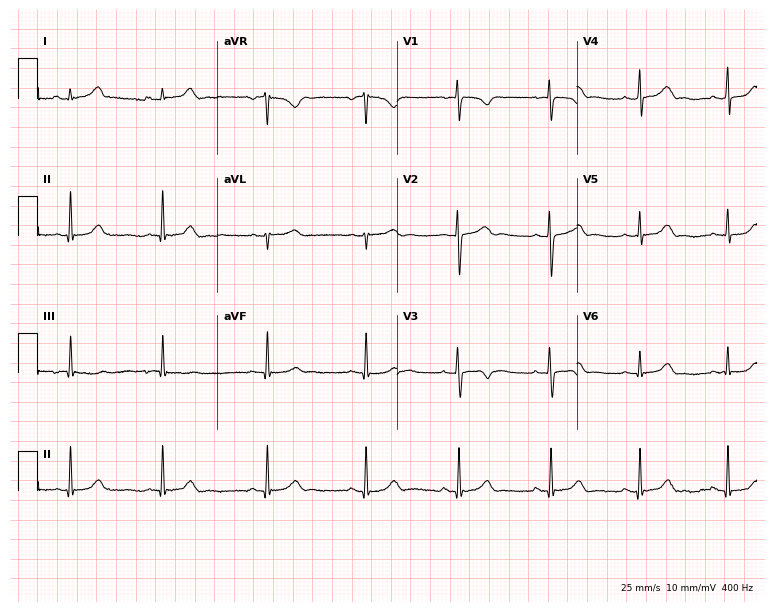
ECG — a 17-year-old female. Labelled as a normal ECG.